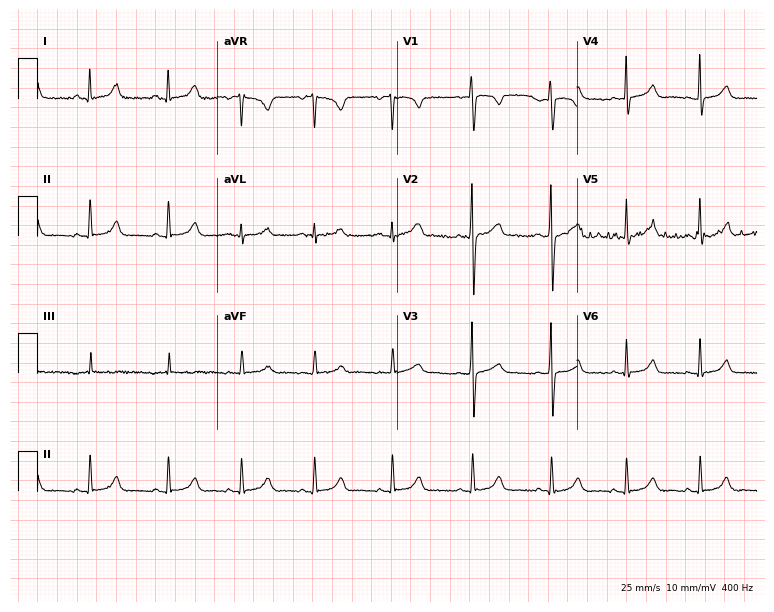
ECG (7.3-second recording at 400 Hz) — an 18-year-old female. Labelled as a normal ECG.